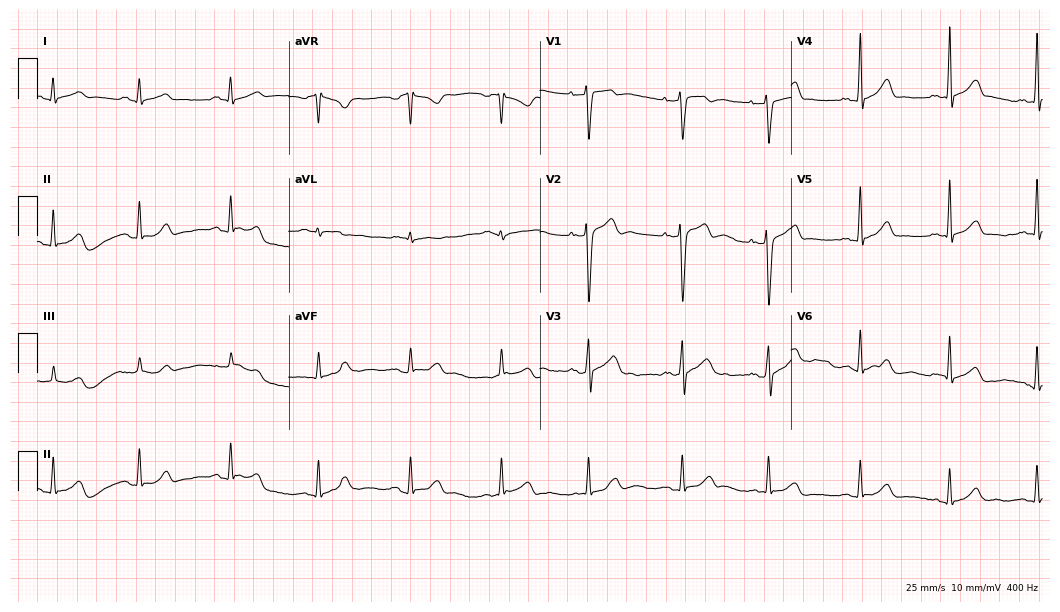
12-lead ECG from a male patient, 28 years old (10.2-second recording at 400 Hz). Recorded interpretation: within normal limits.